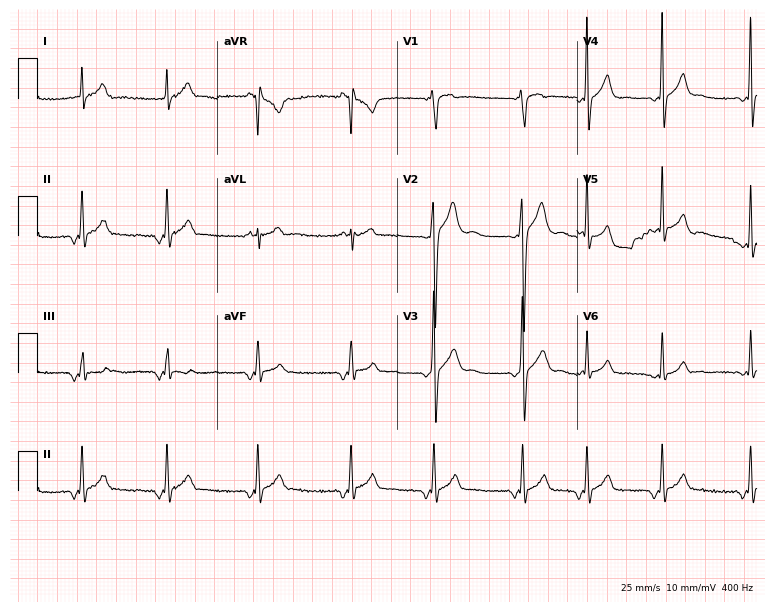
12-lead ECG (7.3-second recording at 400 Hz) from a 21-year-old male. Screened for six findings — first-degree AV block, right bundle branch block (RBBB), left bundle branch block (LBBB), sinus bradycardia, atrial fibrillation (AF), sinus tachycardia — none is recorded. Other findings, if any, are not listed.